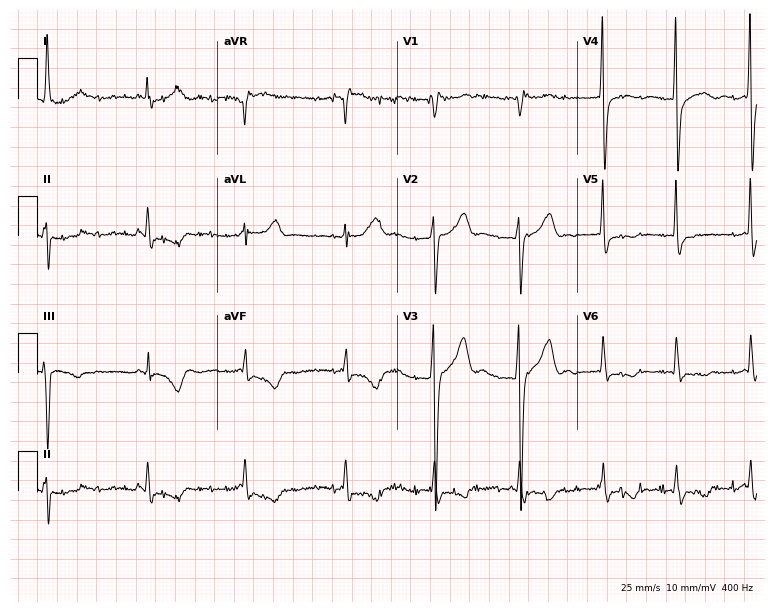
12-lead ECG (7.3-second recording at 400 Hz) from a 52-year-old man. Screened for six findings — first-degree AV block, right bundle branch block, left bundle branch block, sinus bradycardia, atrial fibrillation, sinus tachycardia — none is recorded. Other findings, if any, are not listed.